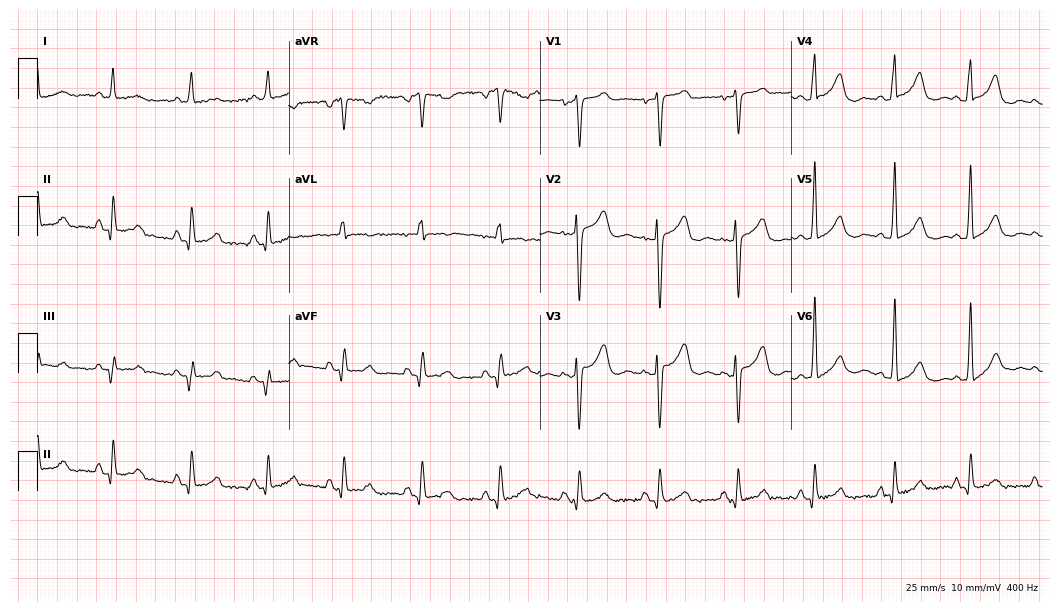
Resting 12-lead electrocardiogram. Patient: a 49-year-old woman. None of these six findings is recorded: first-degree AV block, right bundle branch block (RBBB), left bundle branch block (LBBB), sinus bradycardia, atrial fibrillation (AF), sinus tachycardia.